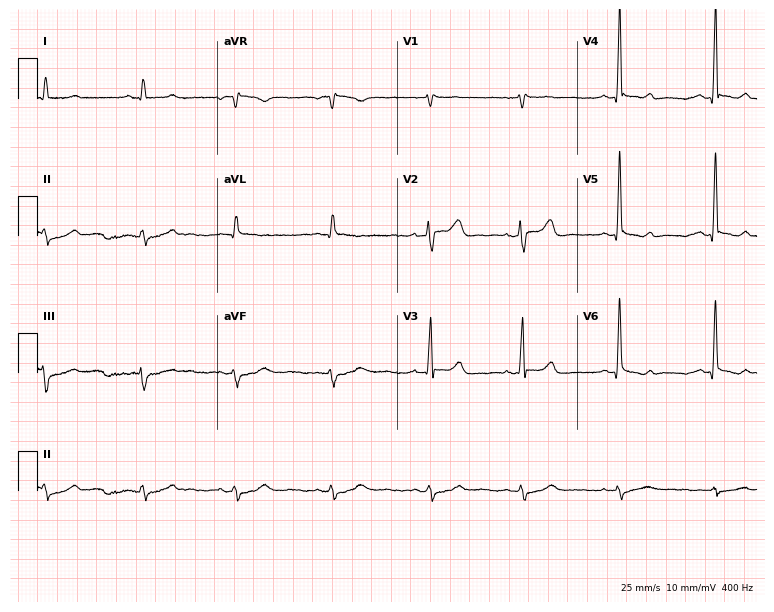
Electrocardiogram (7.3-second recording at 400 Hz), a woman, 39 years old. Of the six screened findings (first-degree AV block, right bundle branch block, left bundle branch block, sinus bradycardia, atrial fibrillation, sinus tachycardia), none is recorded. Other findings, if any, are not listed.